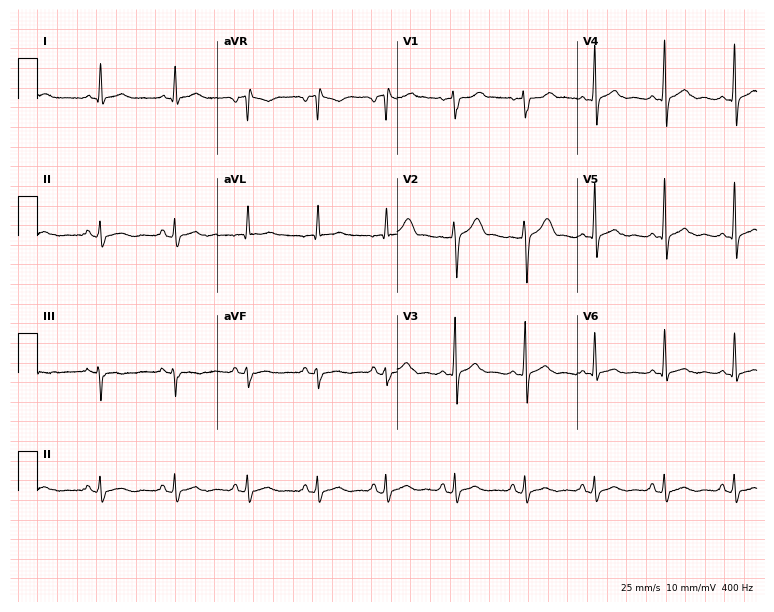
12-lead ECG (7.3-second recording at 400 Hz) from a 43-year-old man. Labelled as a normal ECG.